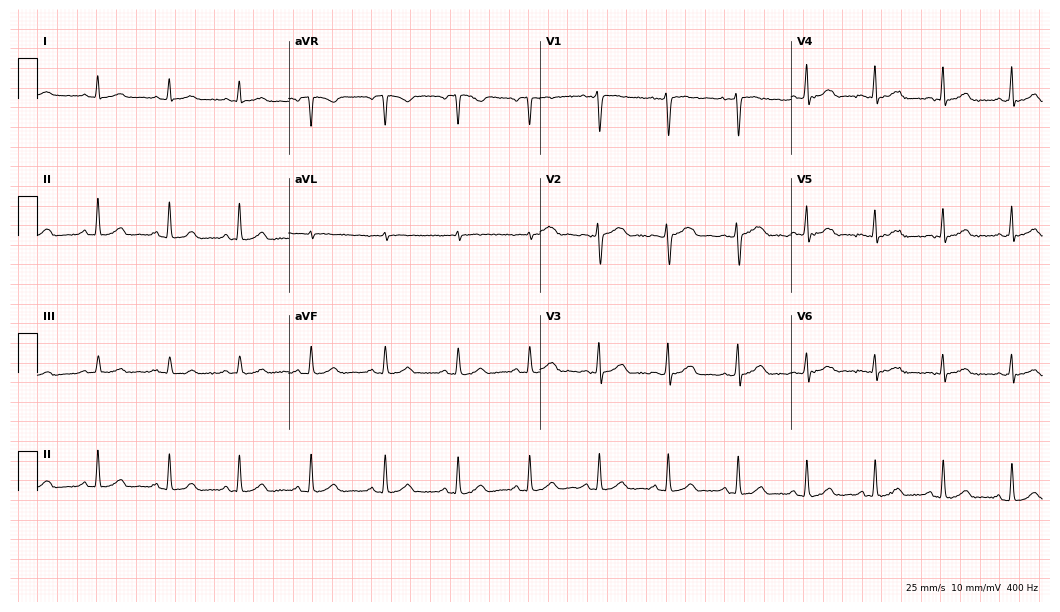
Standard 12-lead ECG recorded from a 35-year-old female patient. Read as a normal ECG.